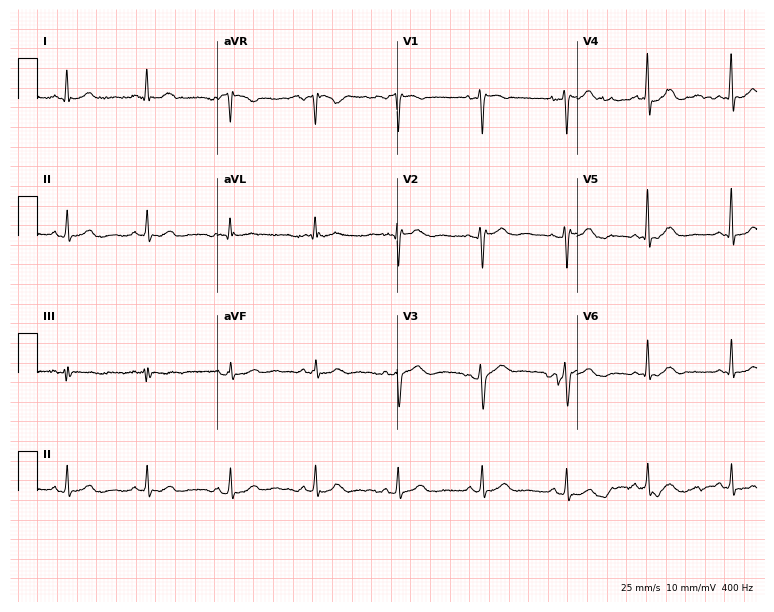
12-lead ECG from a woman, 42 years old. Labelled as a normal ECG.